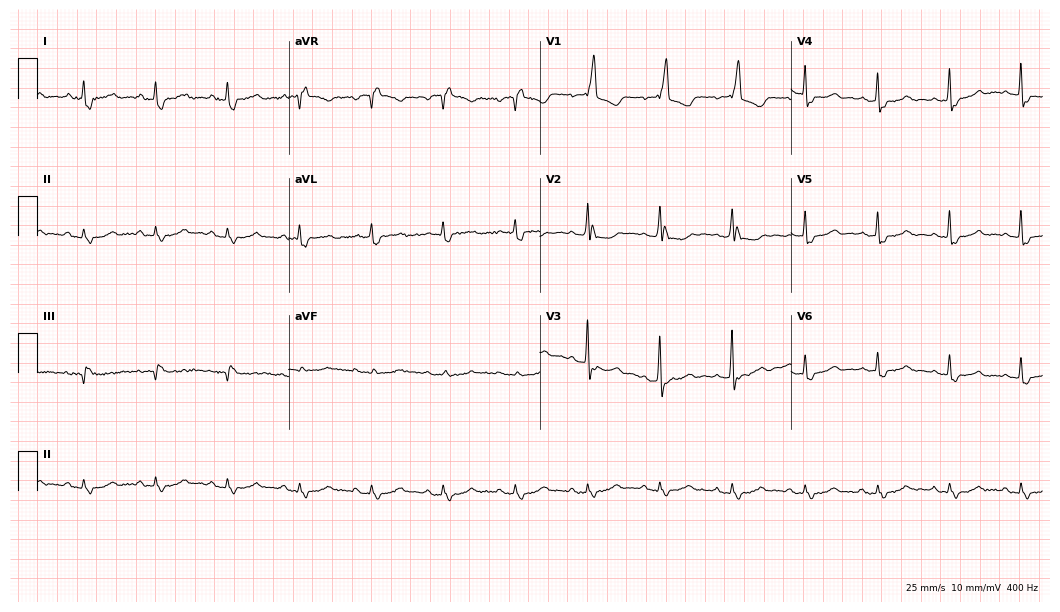
Electrocardiogram, a female, 69 years old. Interpretation includes right bundle branch block.